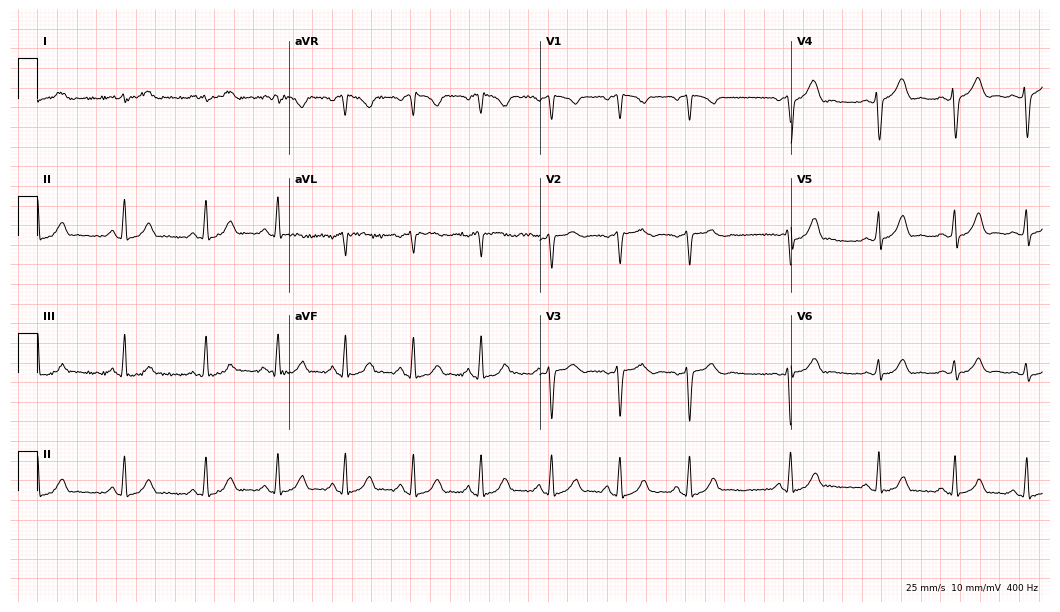
ECG (10.2-second recording at 400 Hz) — a female, 21 years old. Labelled as a normal ECG.